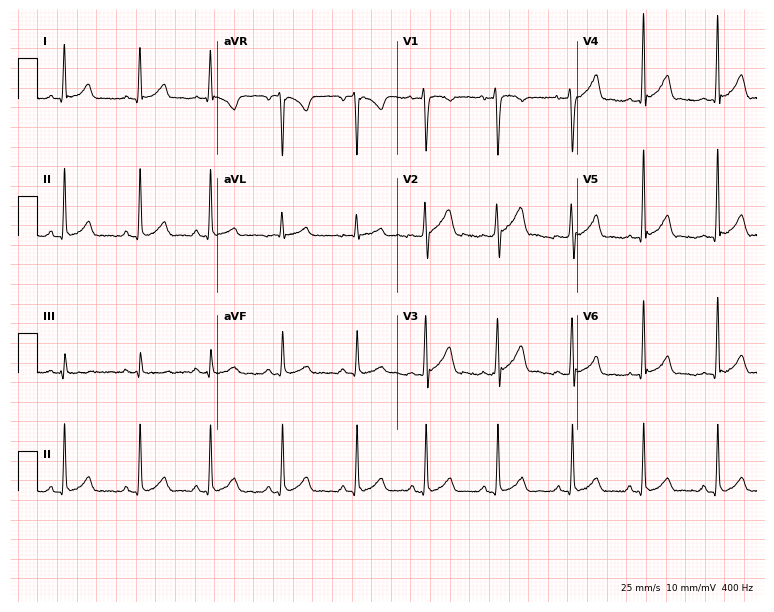
Resting 12-lead electrocardiogram (7.3-second recording at 400 Hz). Patient: a 39-year-old male. None of these six findings is recorded: first-degree AV block, right bundle branch block, left bundle branch block, sinus bradycardia, atrial fibrillation, sinus tachycardia. Findings outside these six are not listed.